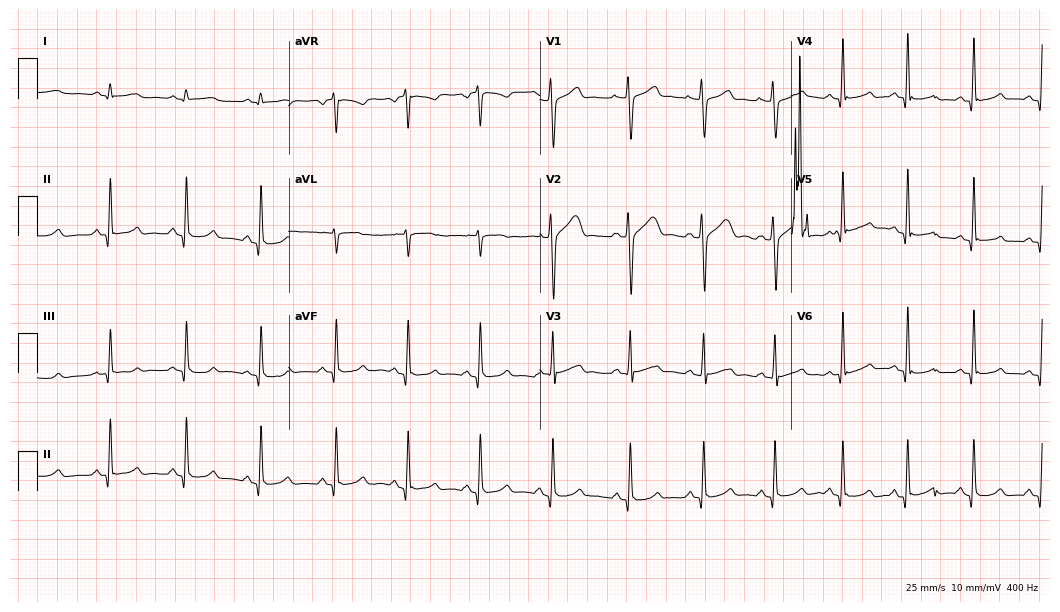
Electrocardiogram (10.2-second recording at 400 Hz), a 31-year-old male. Of the six screened findings (first-degree AV block, right bundle branch block, left bundle branch block, sinus bradycardia, atrial fibrillation, sinus tachycardia), none is recorded.